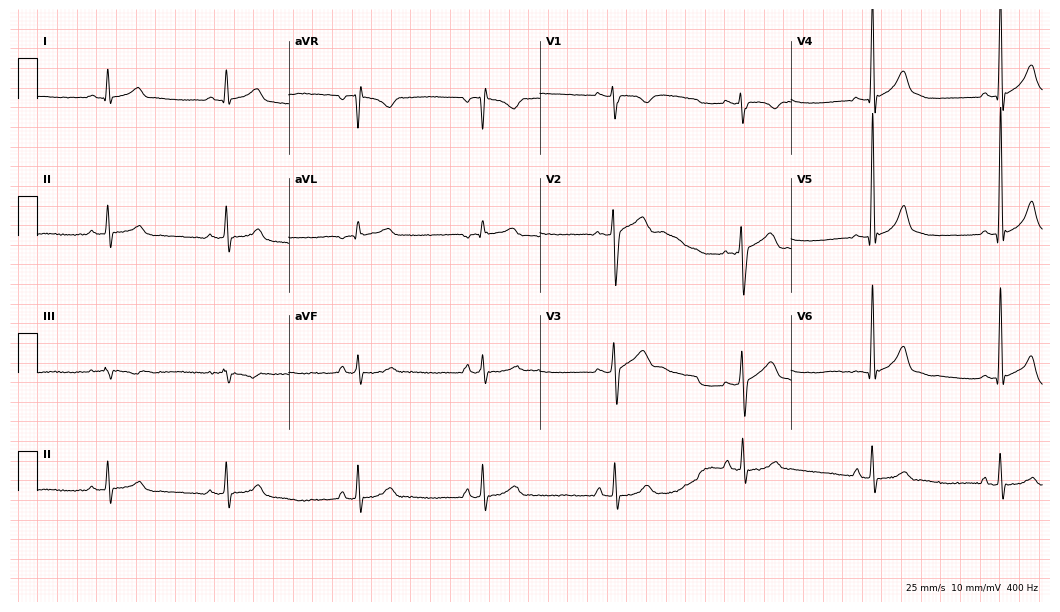
ECG — a male patient, 34 years old. Labelled as a normal ECG.